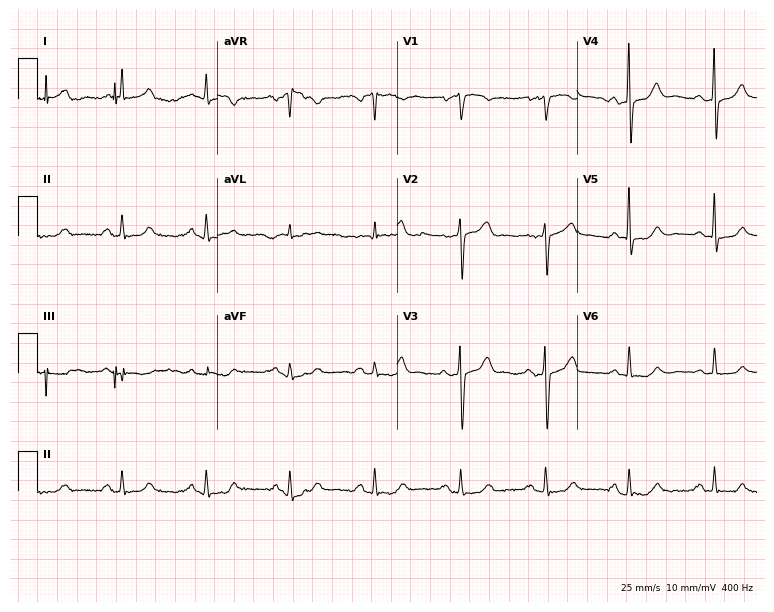
Electrocardiogram, a man, 71 years old. Overall reading on record: normal ECG.